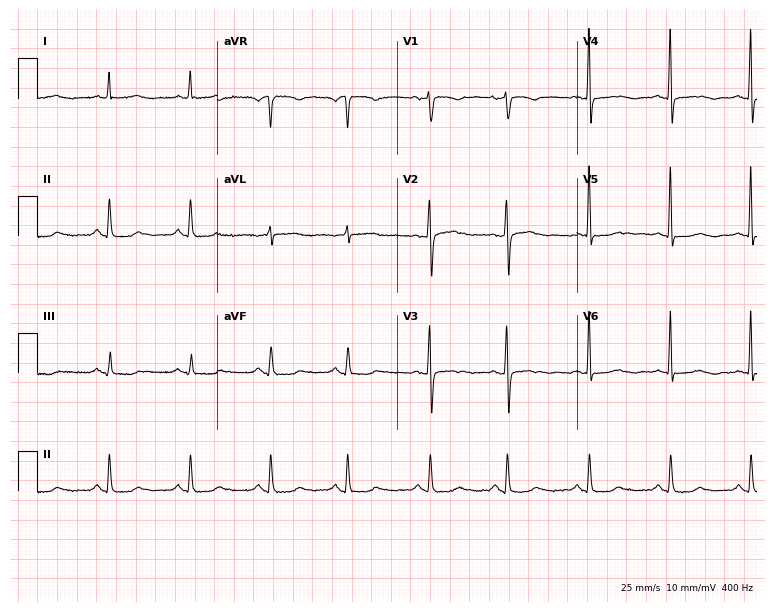
12-lead ECG from a female, 61 years old (7.3-second recording at 400 Hz). No first-degree AV block, right bundle branch block, left bundle branch block, sinus bradycardia, atrial fibrillation or sinus tachycardia recorded for this tracing. Other findings, if any, are not listed.